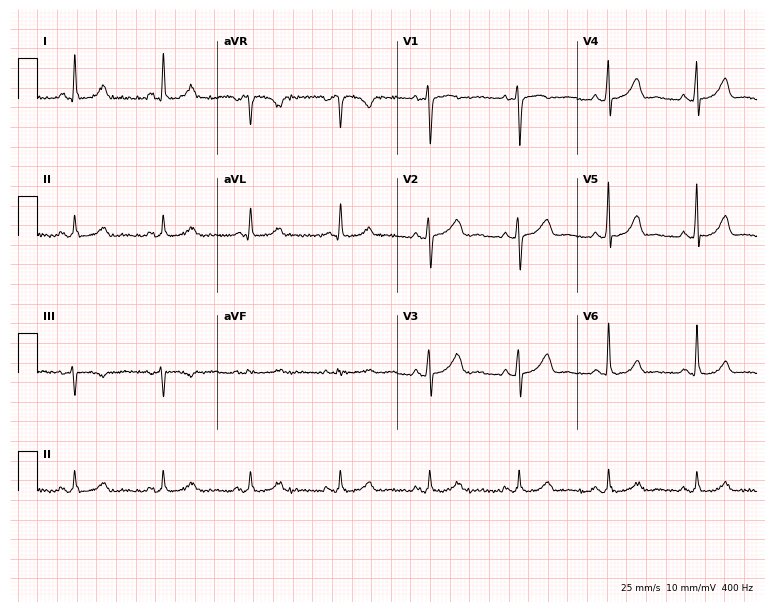
Standard 12-lead ECG recorded from a female patient, 66 years old (7.3-second recording at 400 Hz). Read as a normal ECG.